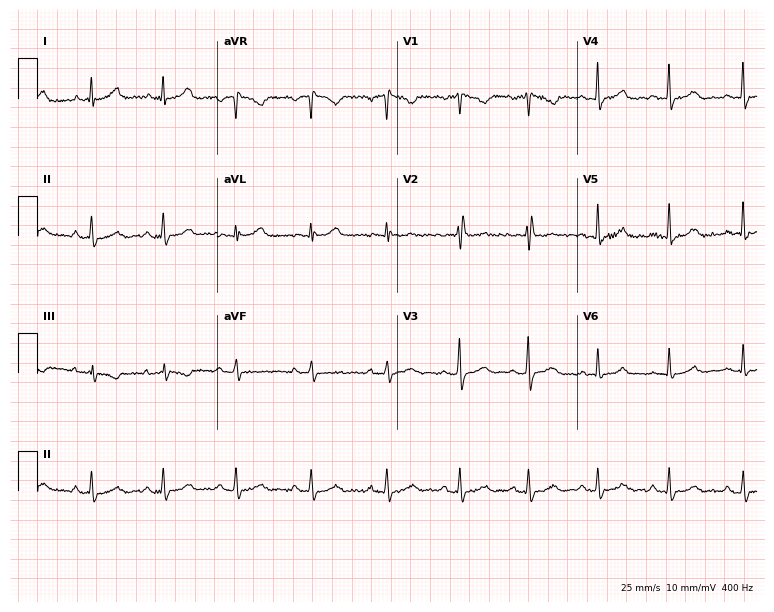
Standard 12-lead ECG recorded from a 28-year-old woman. Read as a normal ECG.